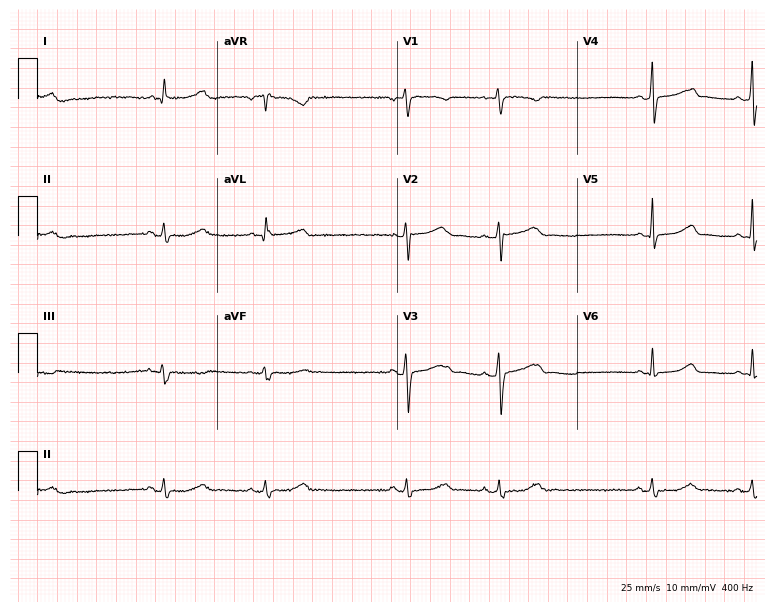
ECG (7.3-second recording at 400 Hz) — a 43-year-old female. Findings include sinus bradycardia (a sinus rate of 50 beats per minute or less).